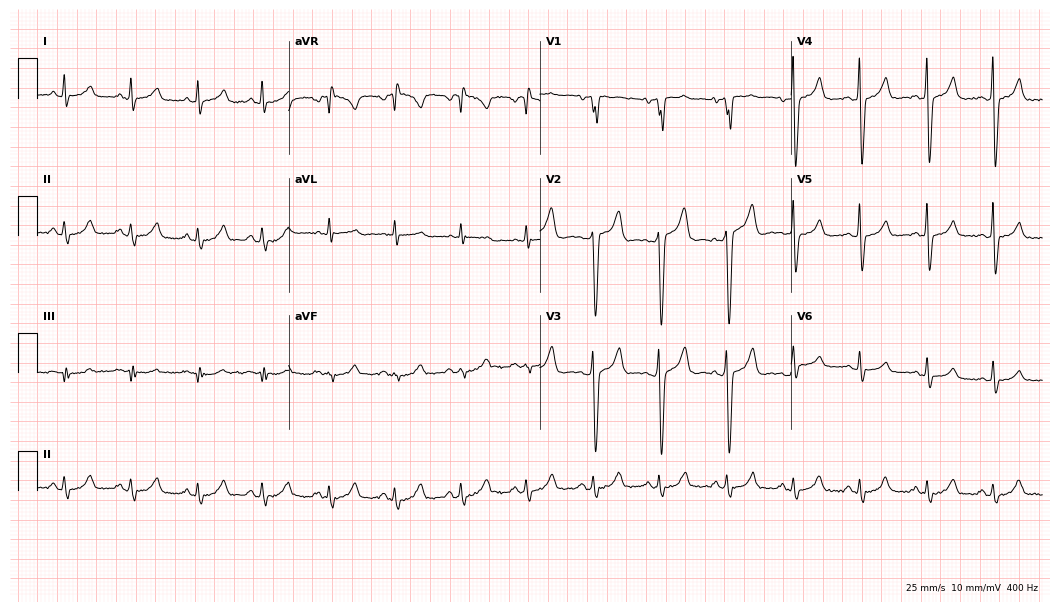
Standard 12-lead ECG recorded from a 40-year-old male (10.2-second recording at 400 Hz). Read as a normal ECG.